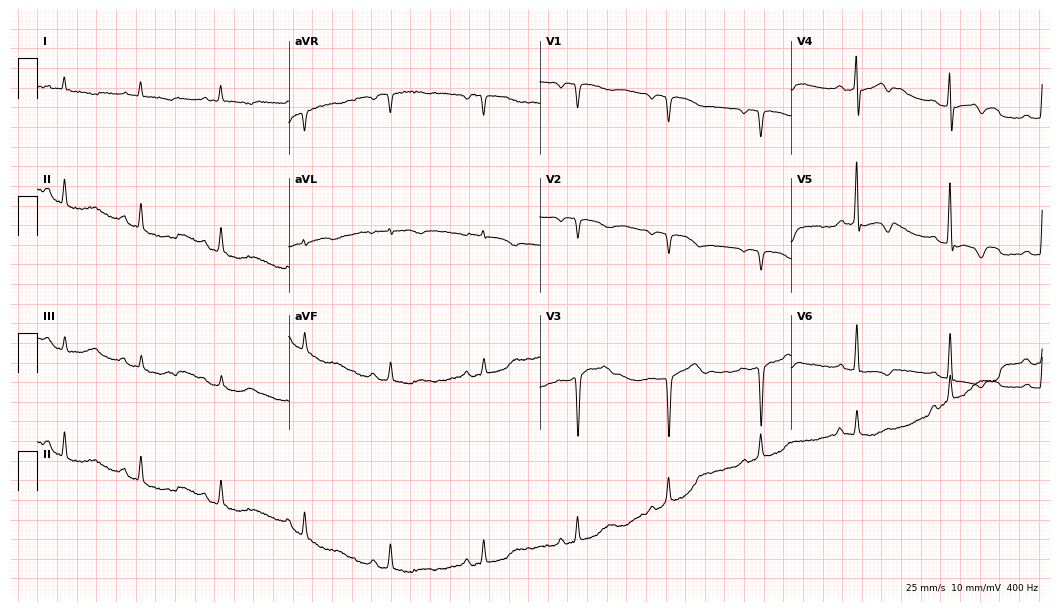
12-lead ECG (10.2-second recording at 400 Hz) from a male patient, 63 years old. Screened for six findings — first-degree AV block, right bundle branch block (RBBB), left bundle branch block (LBBB), sinus bradycardia, atrial fibrillation (AF), sinus tachycardia — none is recorded.